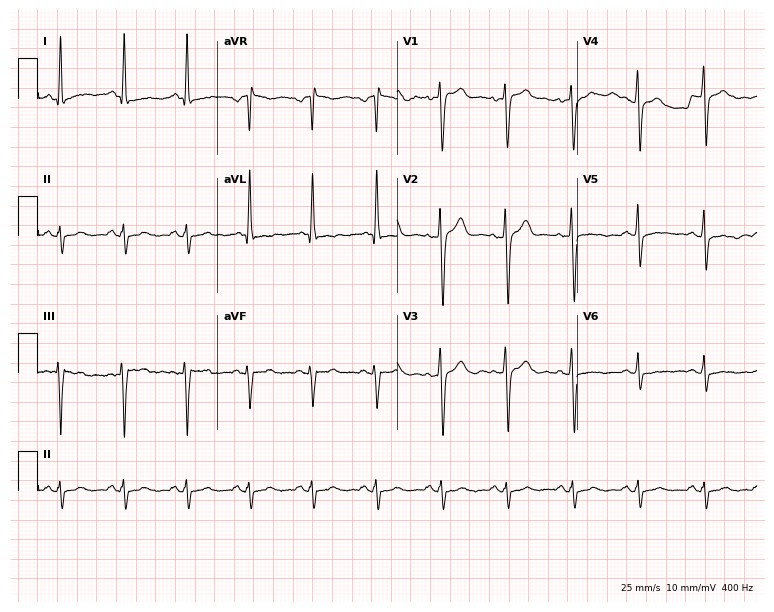
ECG — a 56-year-old male. Screened for six findings — first-degree AV block, right bundle branch block (RBBB), left bundle branch block (LBBB), sinus bradycardia, atrial fibrillation (AF), sinus tachycardia — none is recorded. Only these six findings were labelled.